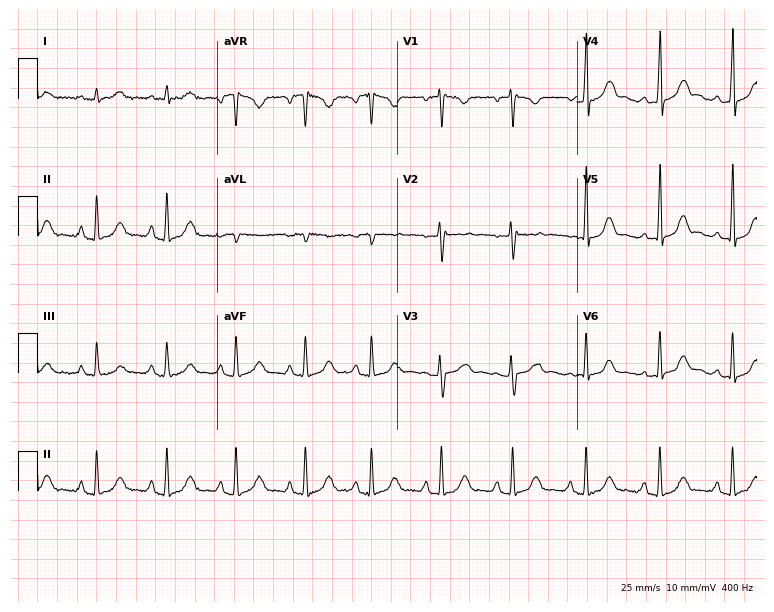
12-lead ECG (7.3-second recording at 400 Hz) from a 35-year-old woman. Labelled as a normal ECG.